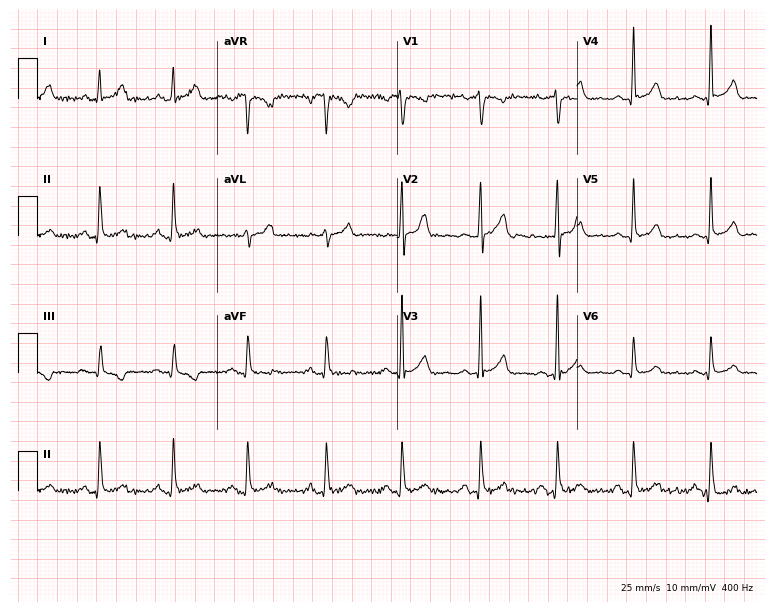
Standard 12-lead ECG recorded from a male patient, 40 years old. None of these six findings is recorded: first-degree AV block, right bundle branch block, left bundle branch block, sinus bradycardia, atrial fibrillation, sinus tachycardia.